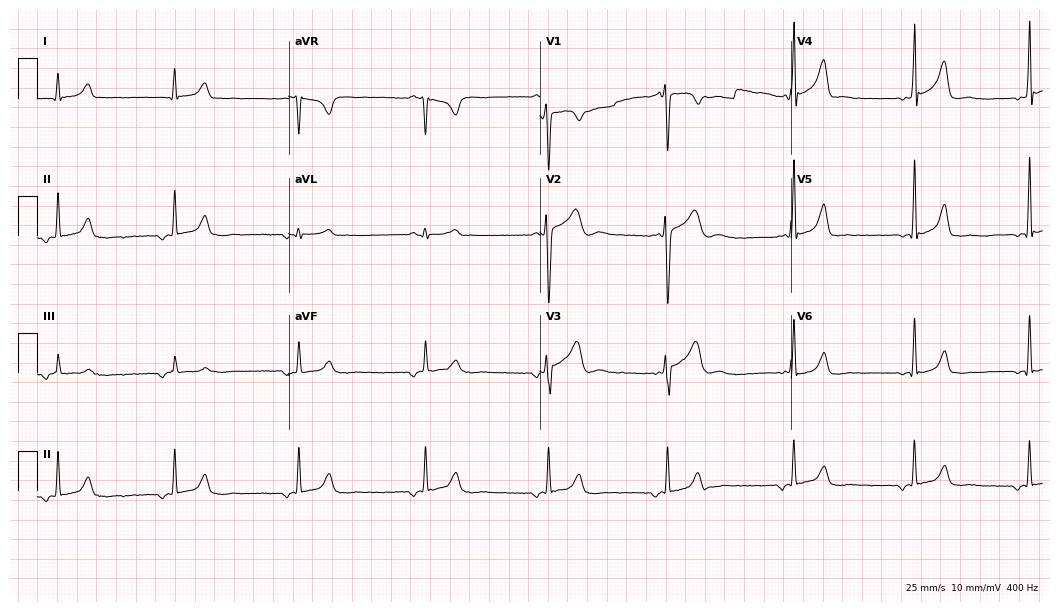
12-lead ECG from a male patient, 23 years old. No first-degree AV block, right bundle branch block, left bundle branch block, sinus bradycardia, atrial fibrillation or sinus tachycardia recorded for this tracing. Findings outside these six are not listed.